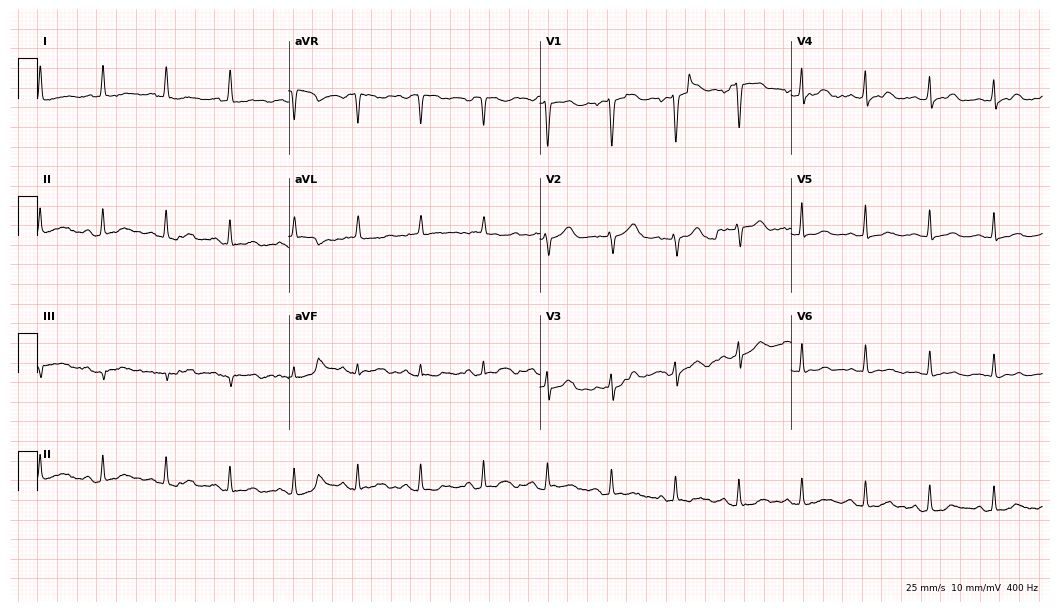
Electrocardiogram (10.2-second recording at 400 Hz), a woman, 65 years old. Of the six screened findings (first-degree AV block, right bundle branch block (RBBB), left bundle branch block (LBBB), sinus bradycardia, atrial fibrillation (AF), sinus tachycardia), none is recorded.